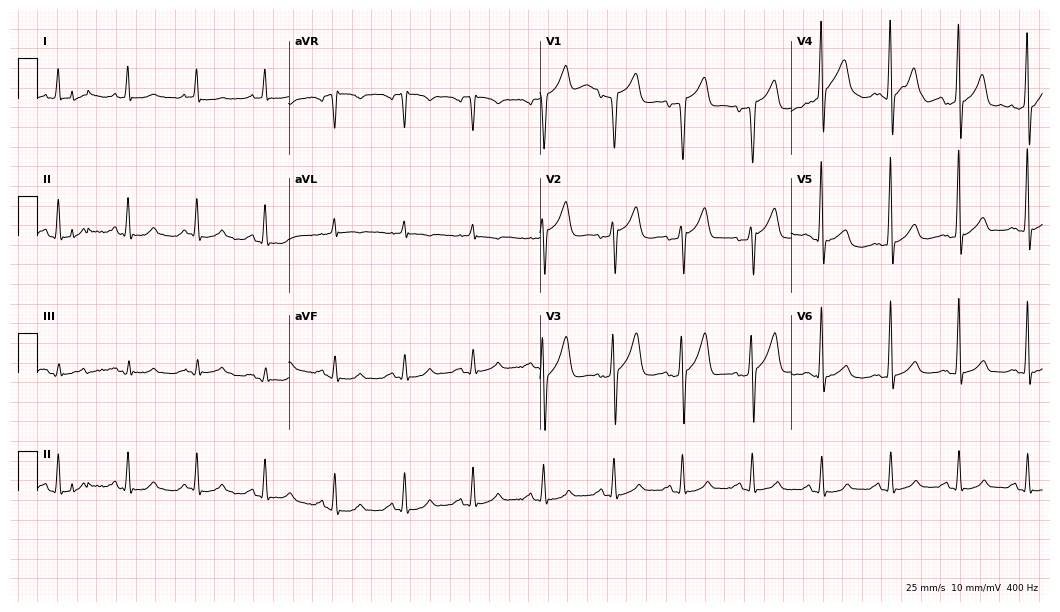
Electrocardiogram (10.2-second recording at 400 Hz), a 59-year-old male patient. Of the six screened findings (first-degree AV block, right bundle branch block, left bundle branch block, sinus bradycardia, atrial fibrillation, sinus tachycardia), none is recorded.